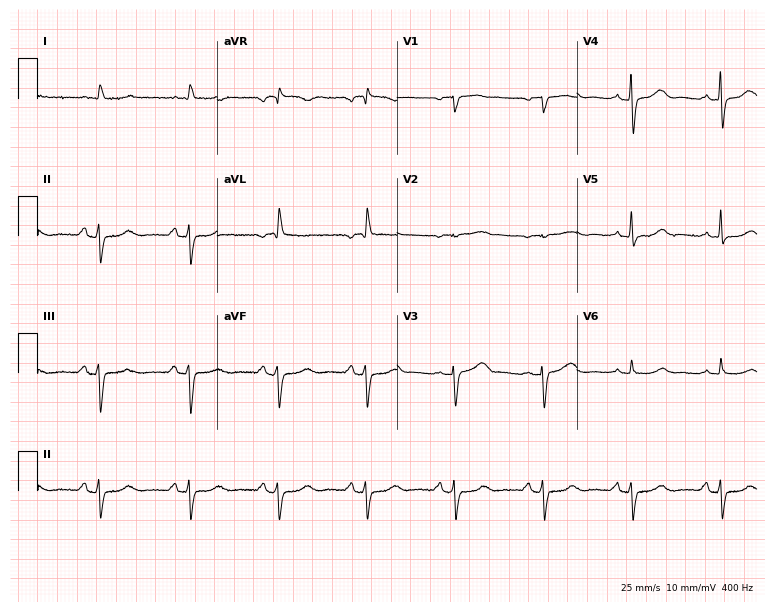
12-lead ECG (7.3-second recording at 400 Hz) from a male patient, 42 years old. Screened for six findings — first-degree AV block, right bundle branch block, left bundle branch block, sinus bradycardia, atrial fibrillation, sinus tachycardia — none is recorded.